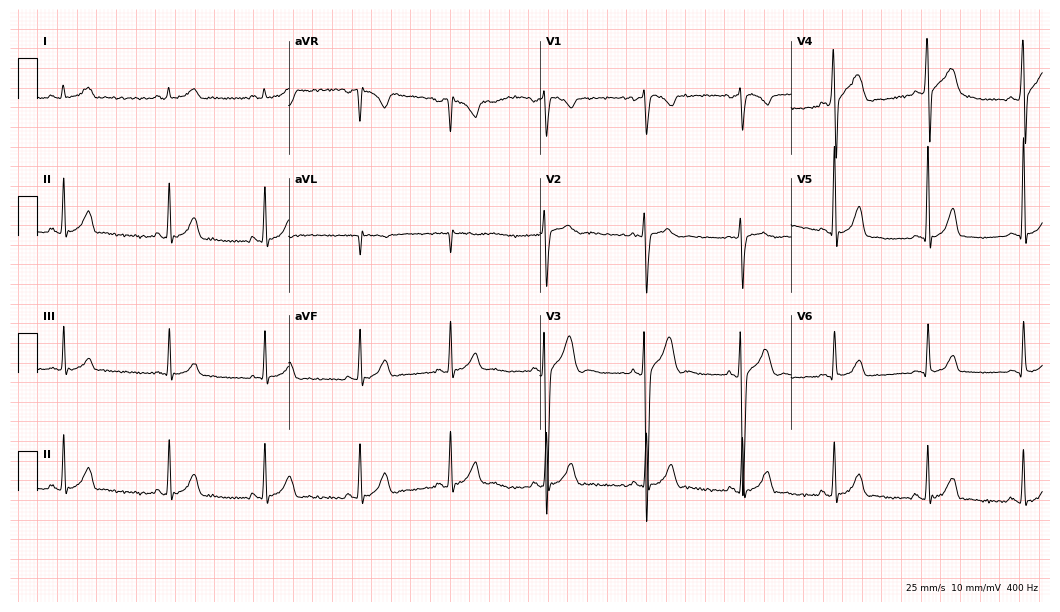
12-lead ECG from an 18-year-old male (10.2-second recording at 400 Hz). Recorded interpretation: within normal limits.